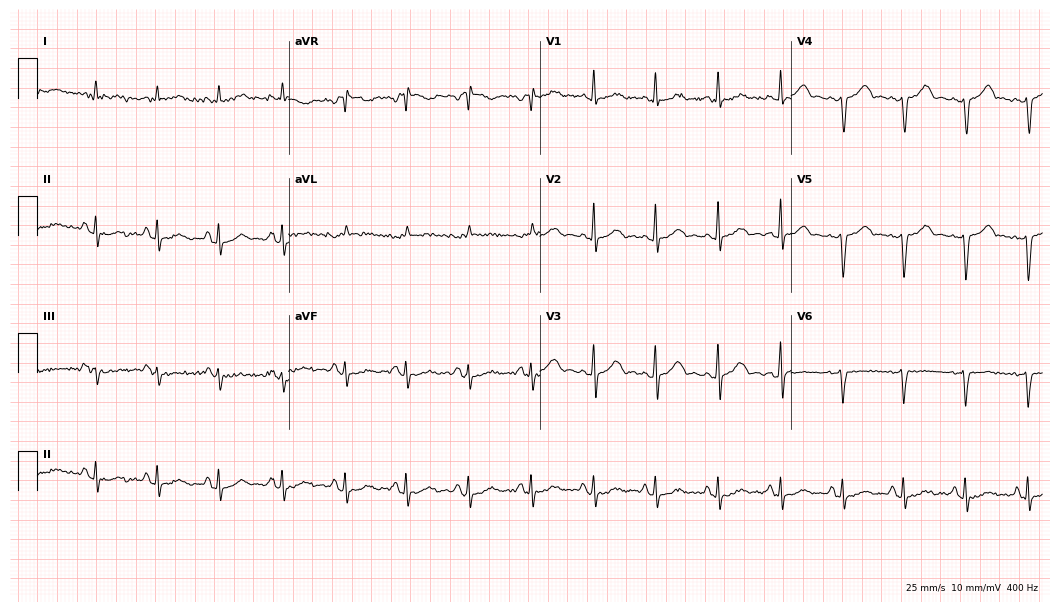
Resting 12-lead electrocardiogram (10.2-second recording at 400 Hz). Patient: a 46-year-old male. None of these six findings is recorded: first-degree AV block, right bundle branch block, left bundle branch block, sinus bradycardia, atrial fibrillation, sinus tachycardia.